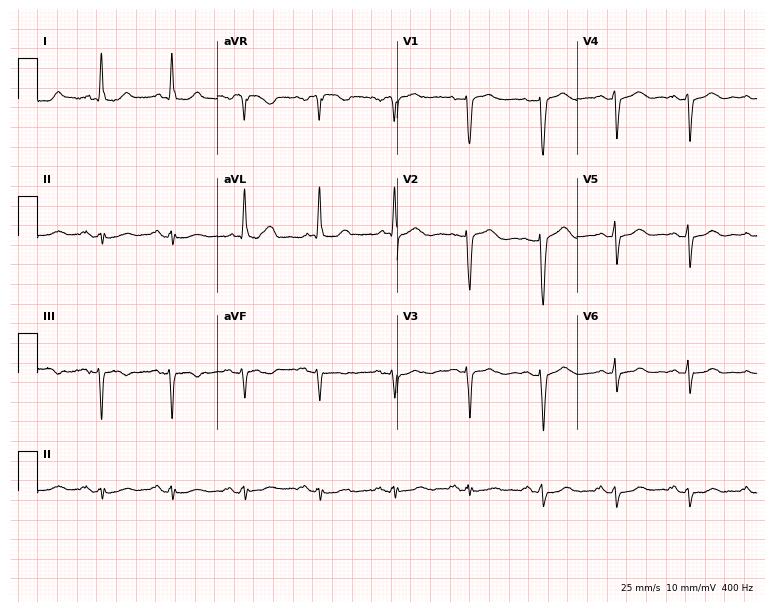
Resting 12-lead electrocardiogram. Patient: a 63-year-old woman. None of these six findings is recorded: first-degree AV block, right bundle branch block, left bundle branch block, sinus bradycardia, atrial fibrillation, sinus tachycardia. Other findings, if any, are not listed.